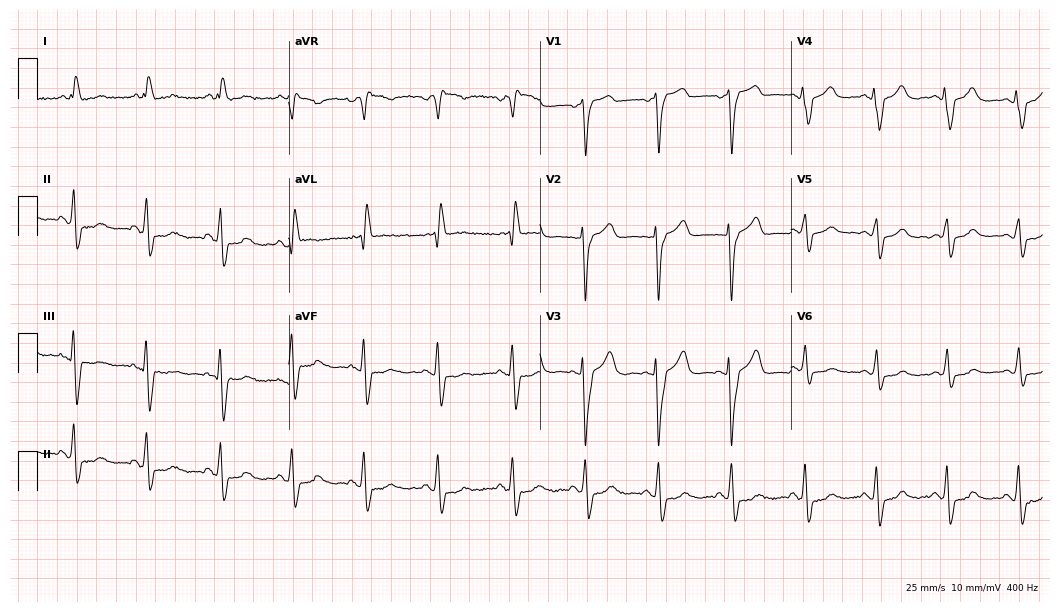
12-lead ECG (10.2-second recording at 400 Hz) from a 74-year-old female. Findings include left bundle branch block.